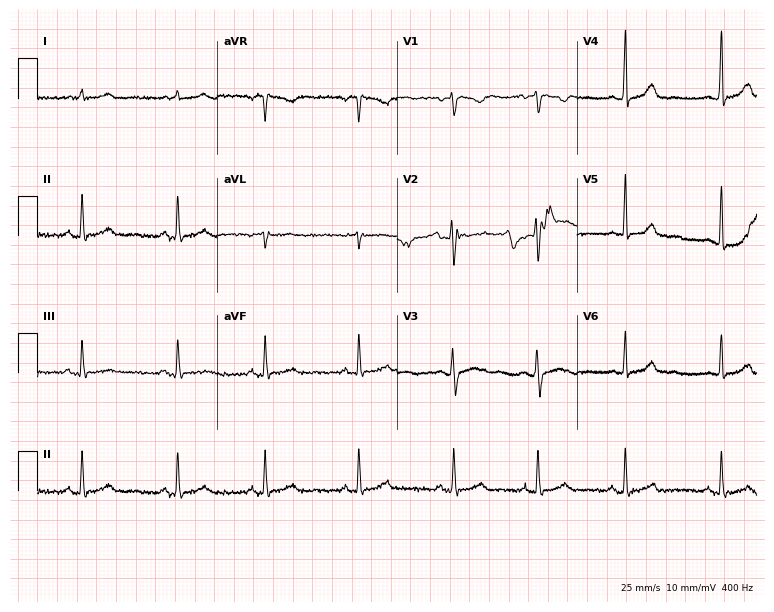
12-lead ECG (7.3-second recording at 400 Hz) from a 21-year-old female patient. Labelled as a normal ECG.